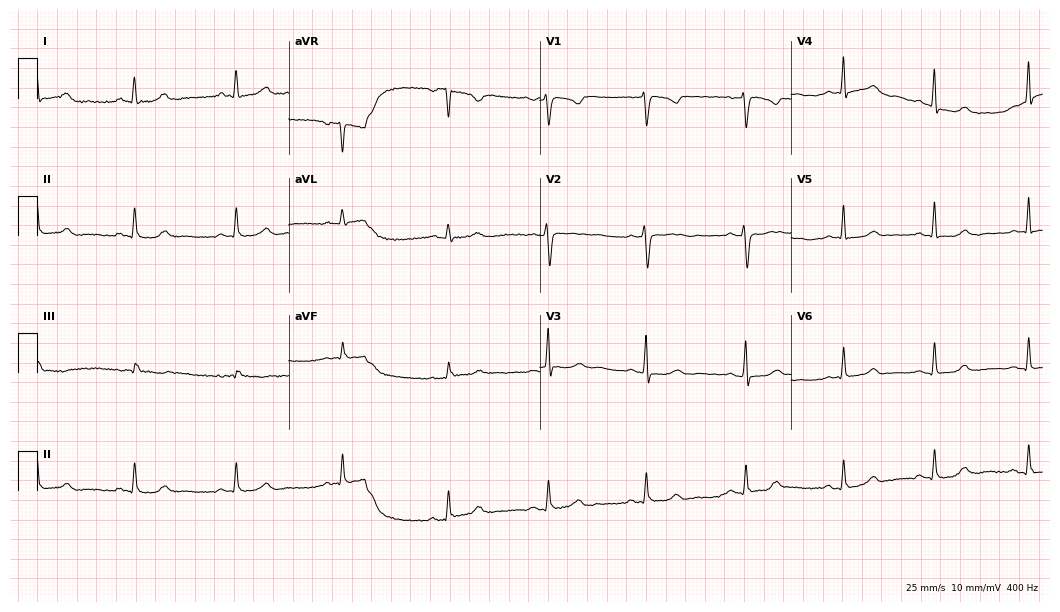
Standard 12-lead ECG recorded from a female patient, 55 years old (10.2-second recording at 400 Hz). Read as a normal ECG.